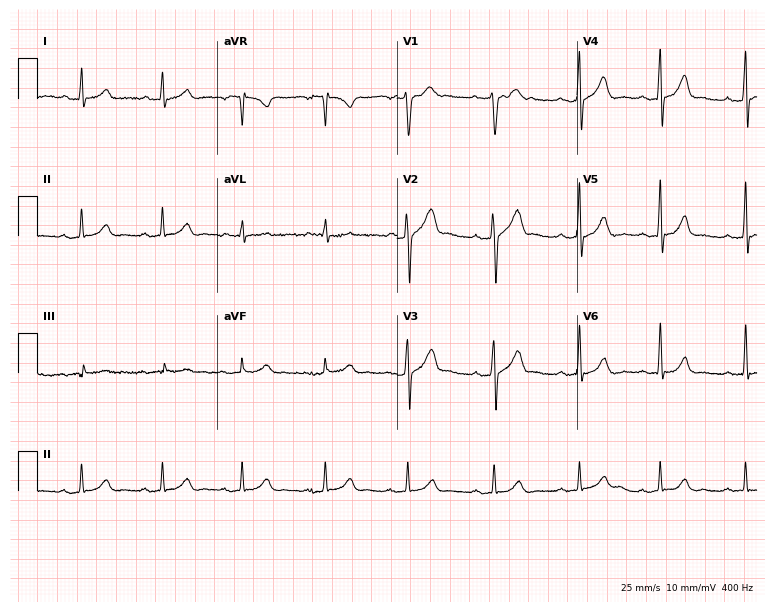
Electrocardiogram (7.3-second recording at 400 Hz), a man, 34 years old. Overall reading on record: normal ECG.